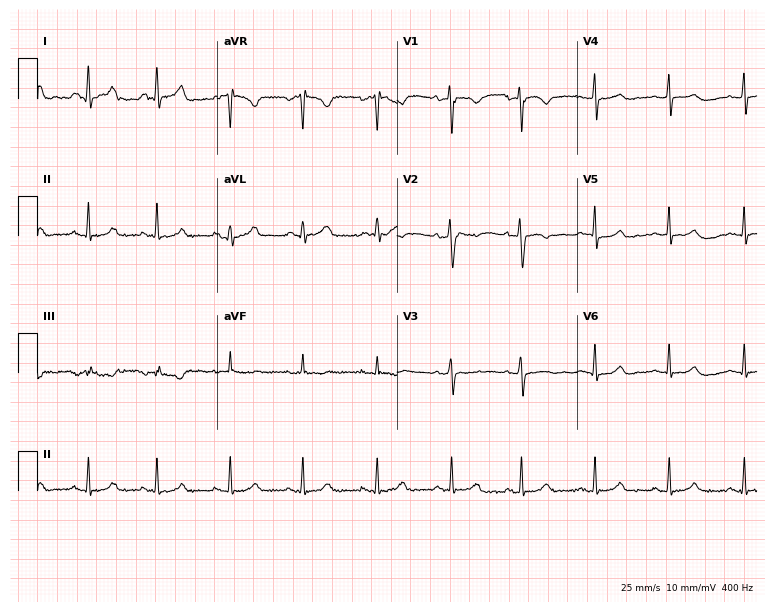
12-lead ECG from a 32-year-old female (7.3-second recording at 400 Hz). No first-degree AV block, right bundle branch block, left bundle branch block, sinus bradycardia, atrial fibrillation or sinus tachycardia recorded for this tracing. Other findings, if any, are not listed.